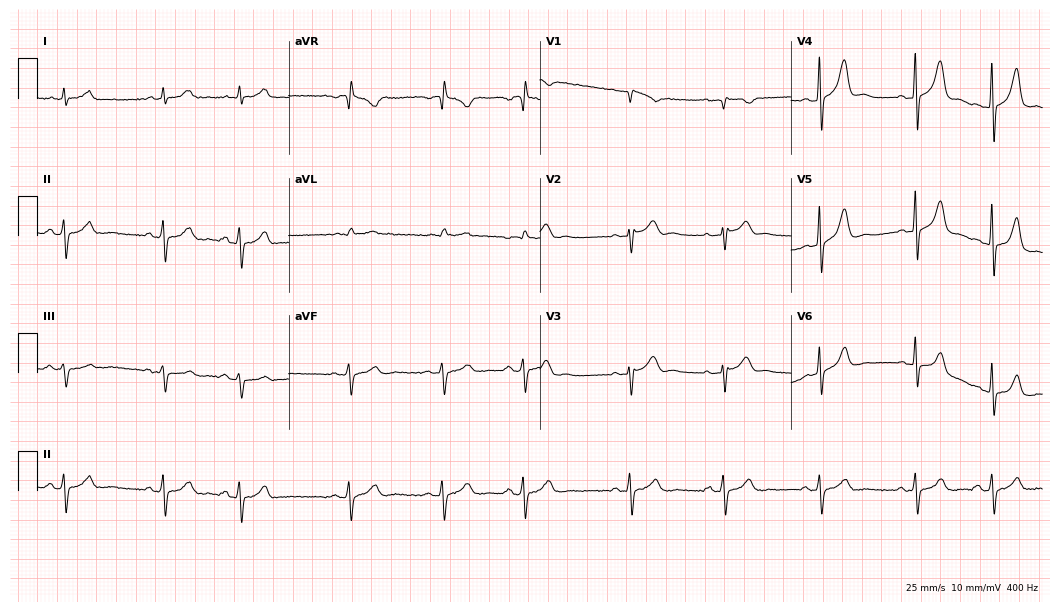
12-lead ECG (10.2-second recording at 400 Hz) from a 55-year-old male patient. Screened for six findings — first-degree AV block, right bundle branch block, left bundle branch block, sinus bradycardia, atrial fibrillation, sinus tachycardia — none is recorded. Findings outside these six are not listed.